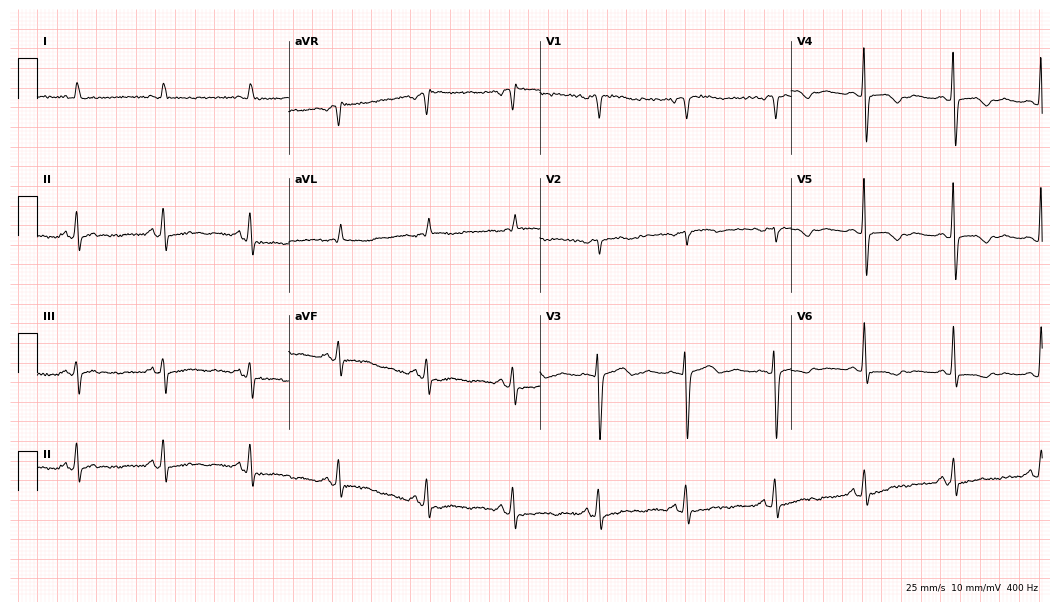
Resting 12-lead electrocardiogram. Patient: a female, 78 years old. None of these six findings is recorded: first-degree AV block, right bundle branch block (RBBB), left bundle branch block (LBBB), sinus bradycardia, atrial fibrillation (AF), sinus tachycardia. Other findings, if any, are not listed.